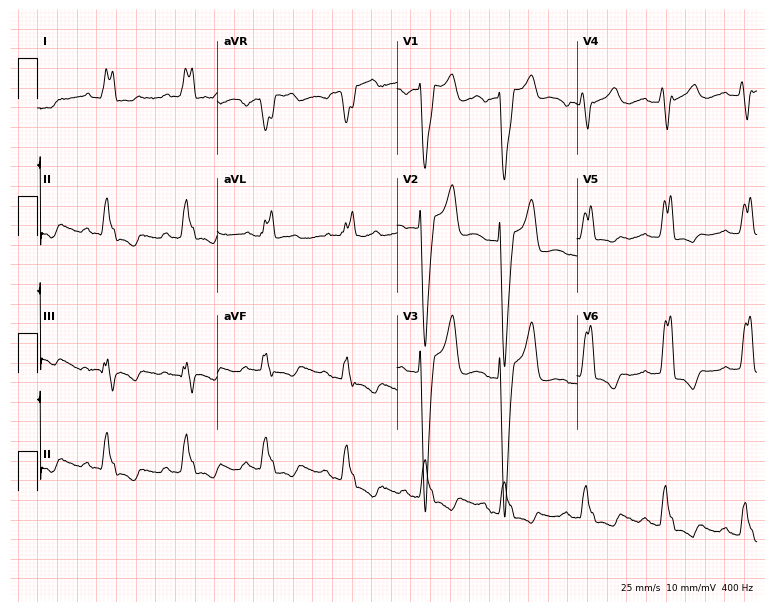
12-lead ECG (7.3-second recording at 400 Hz) from a female, 63 years old. Findings include left bundle branch block (LBBB).